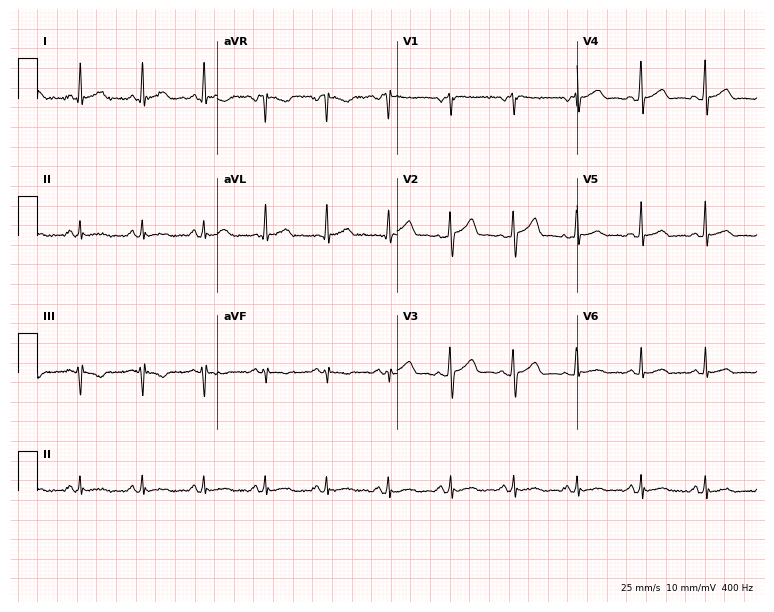
12-lead ECG (7.3-second recording at 400 Hz) from a man, 45 years old. Labelled as a normal ECG.